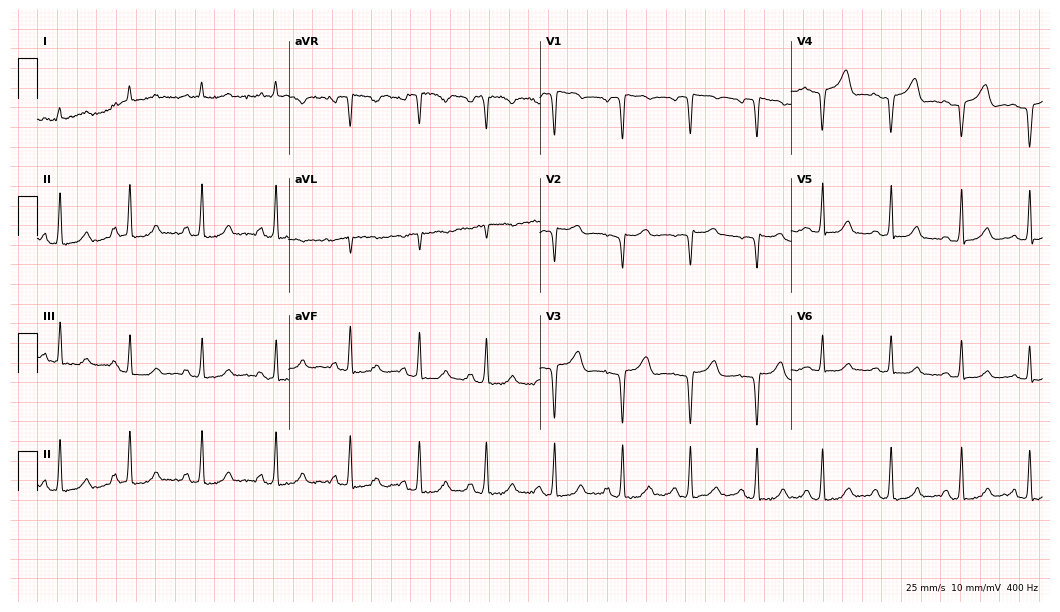
Electrocardiogram (10.2-second recording at 400 Hz), a 38-year-old woman. Of the six screened findings (first-degree AV block, right bundle branch block (RBBB), left bundle branch block (LBBB), sinus bradycardia, atrial fibrillation (AF), sinus tachycardia), none is recorded.